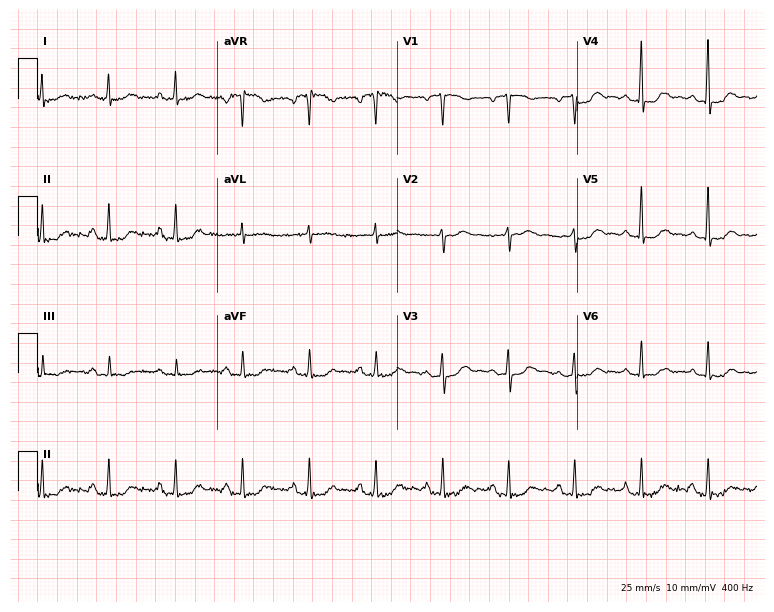
ECG — a female patient, 59 years old. Screened for six findings — first-degree AV block, right bundle branch block, left bundle branch block, sinus bradycardia, atrial fibrillation, sinus tachycardia — none is recorded. Only these six findings were labelled.